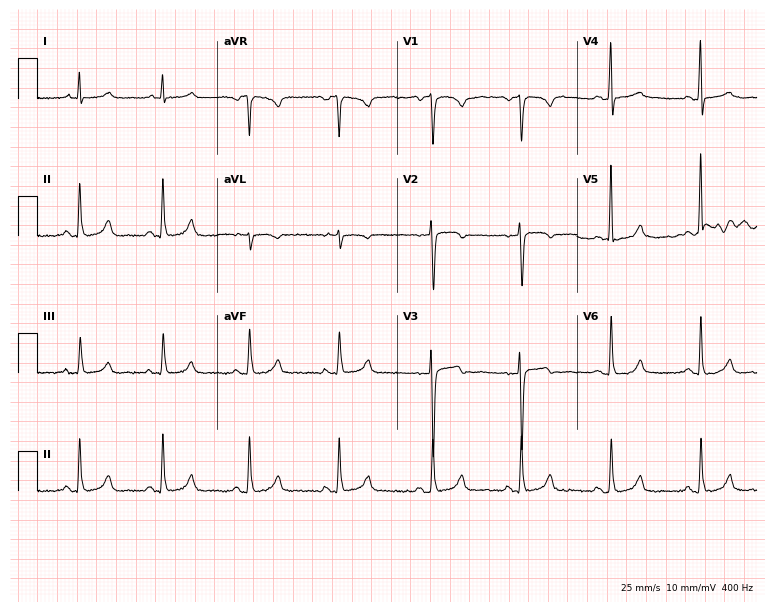
12-lead ECG from a female patient, 46 years old. Recorded interpretation: within normal limits.